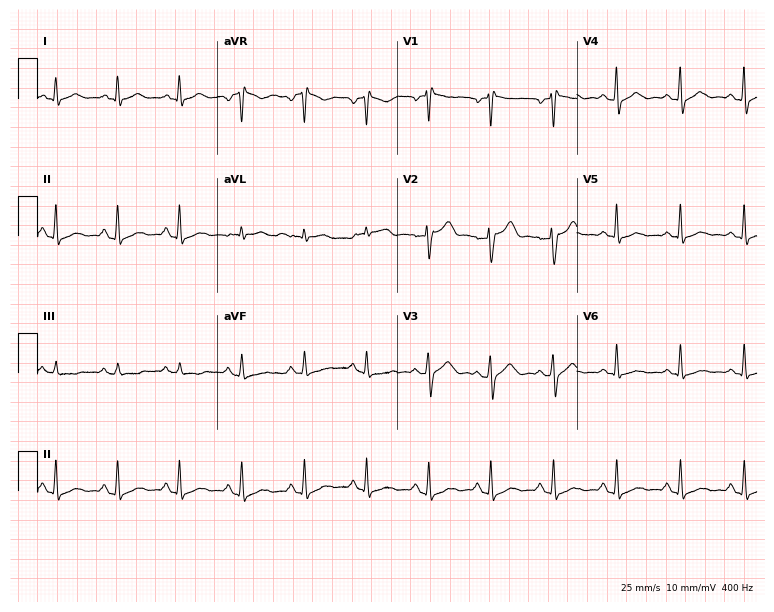
12-lead ECG from a man, 39 years old. Screened for six findings — first-degree AV block, right bundle branch block, left bundle branch block, sinus bradycardia, atrial fibrillation, sinus tachycardia — none is recorded.